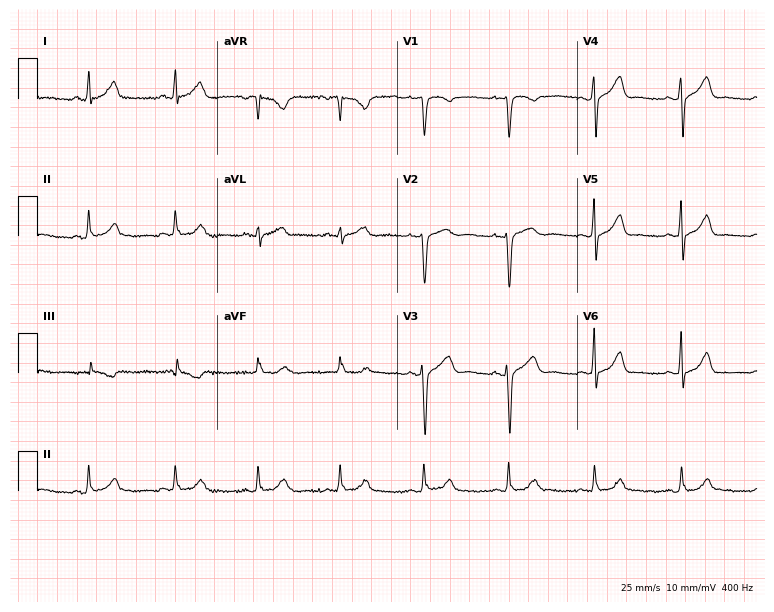
Standard 12-lead ECG recorded from a 43-year-old woman. Read as a normal ECG.